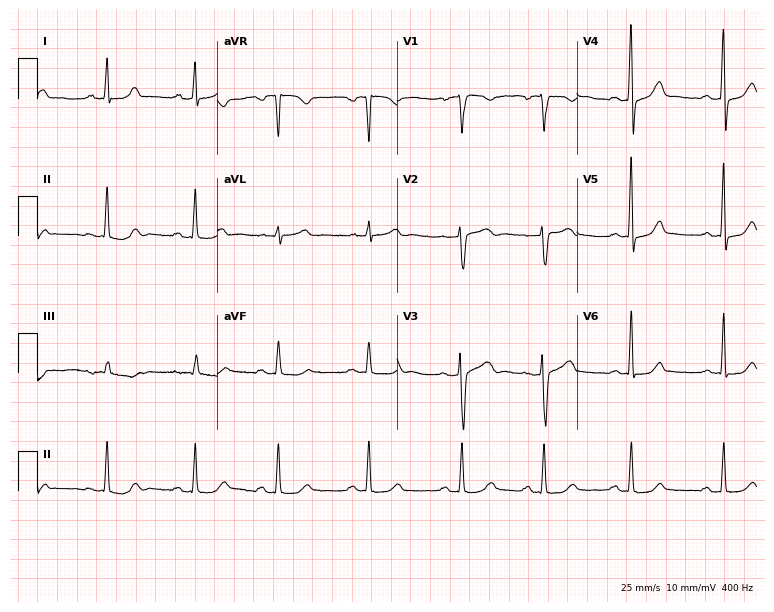
Electrocardiogram, a female patient, 46 years old. Overall reading on record: normal ECG.